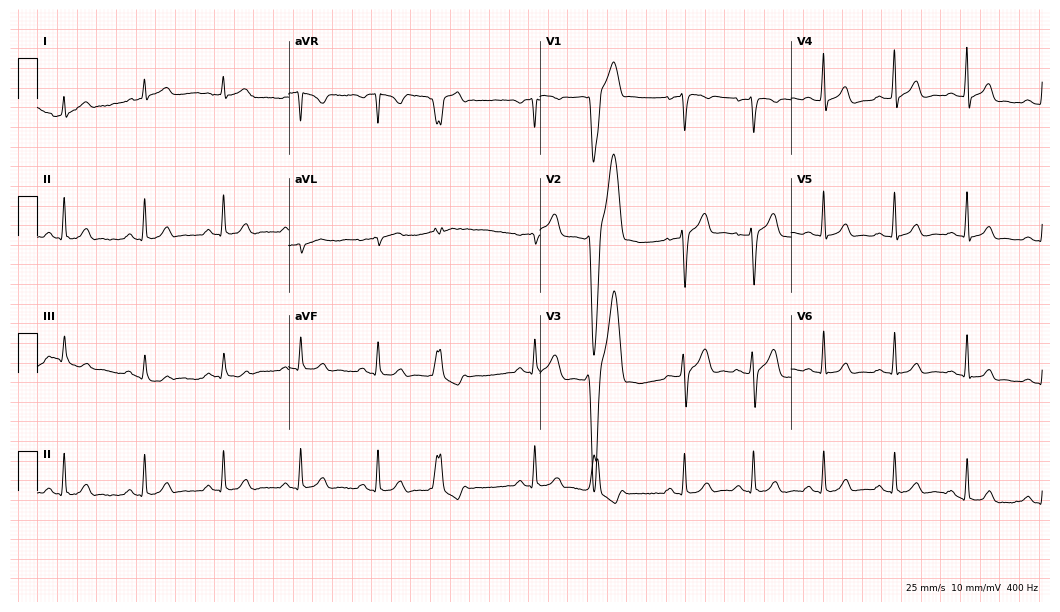
Resting 12-lead electrocardiogram (10.2-second recording at 400 Hz). Patient: a male, 31 years old. Read as a normal ECG.